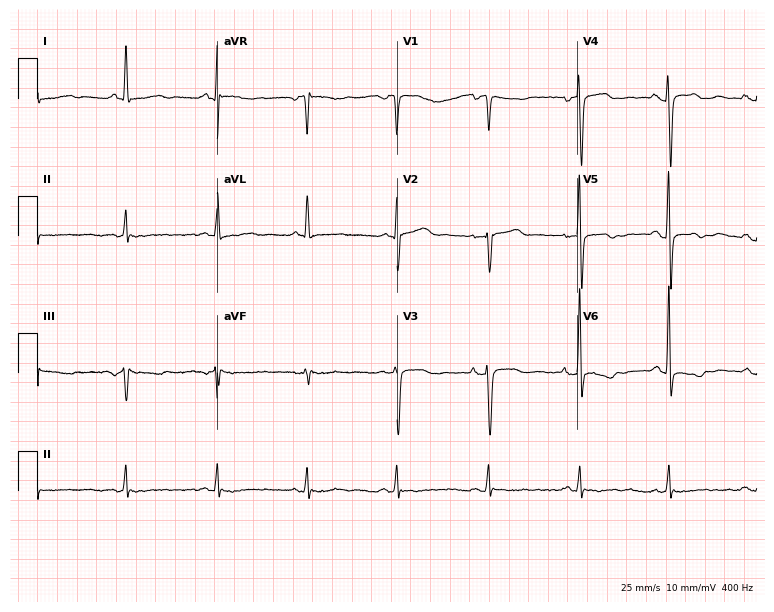
Standard 12-lead ECG recorded from a 51-year-old woman. None of these six findings is recorded: first-degree AV block, right bundle branch block (RBBB), left bundle branch block (LBBB), sinus bradycardia, atrial fibrillation (AF), sinus tachycardia.